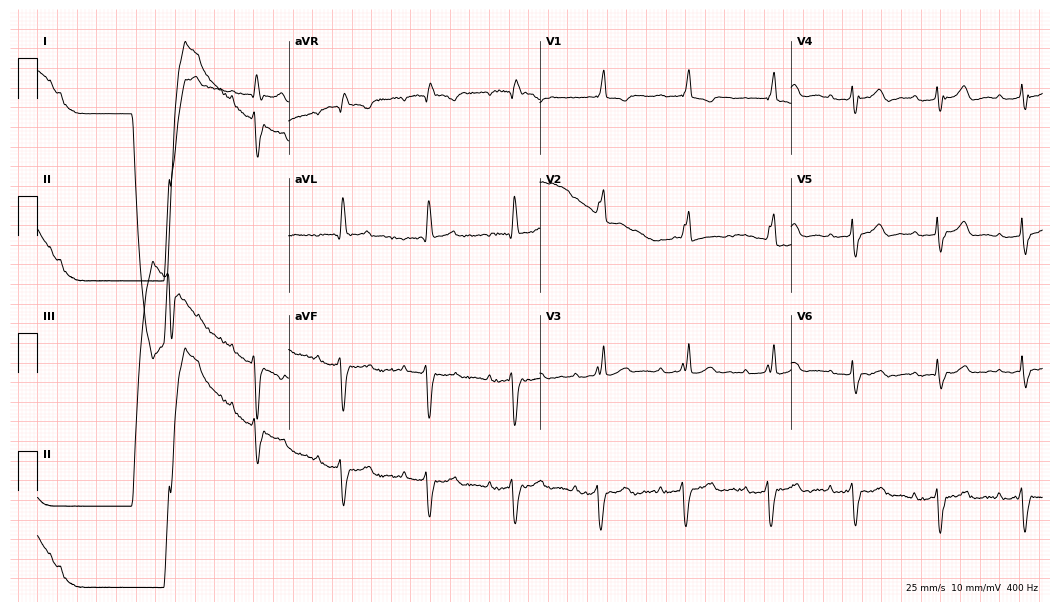
Electrocardiogram, an 83-year-old female. Interpretation includes first-degree AV block, right bundle branch block.